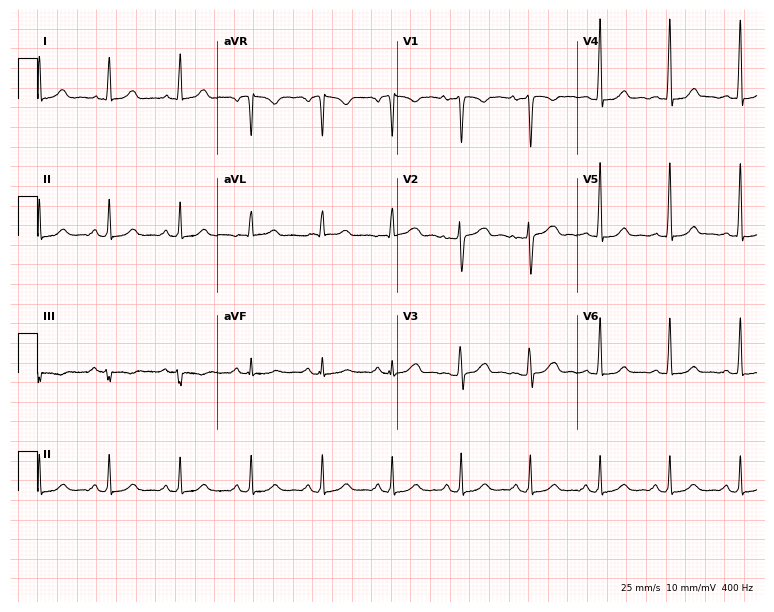
12-lead ECG from a 38-year-old female patient. Recorded interpretation: within normal limits.